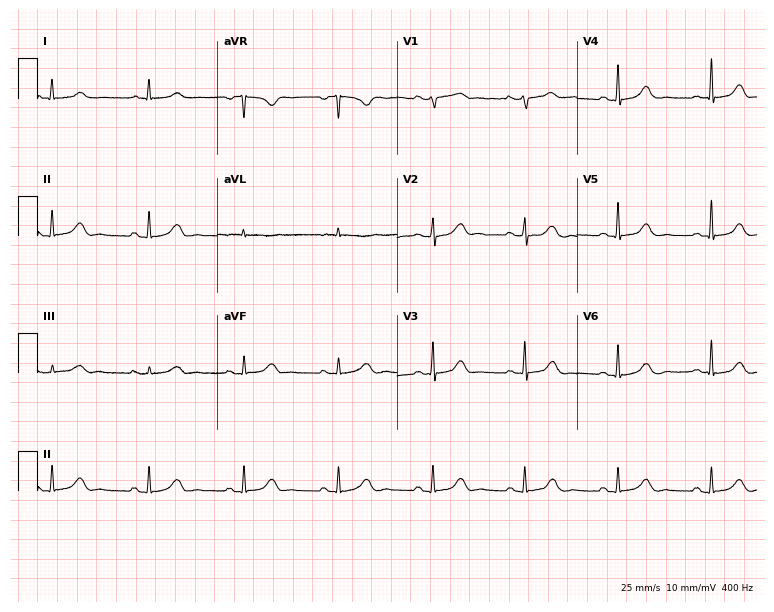
ECG (7.3-second recording at 400 Hz) — a woman, 52 years old. Labelled as a normal ECG.